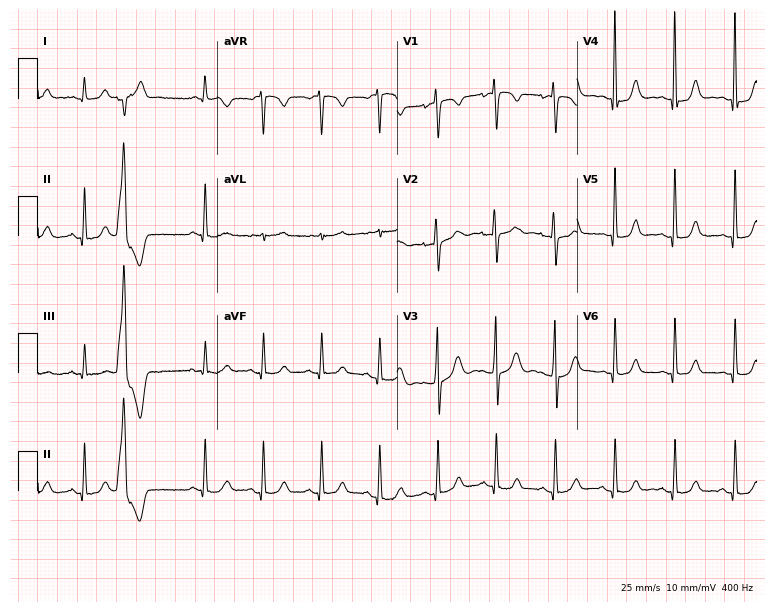
Resting 12-lead electrocardiogram (7.3-second recording at 400 Hz). Patient: a 41-year-old woman. The tracing shows sinus tachycardia (a sinus rate of 100 beats per minute or more).